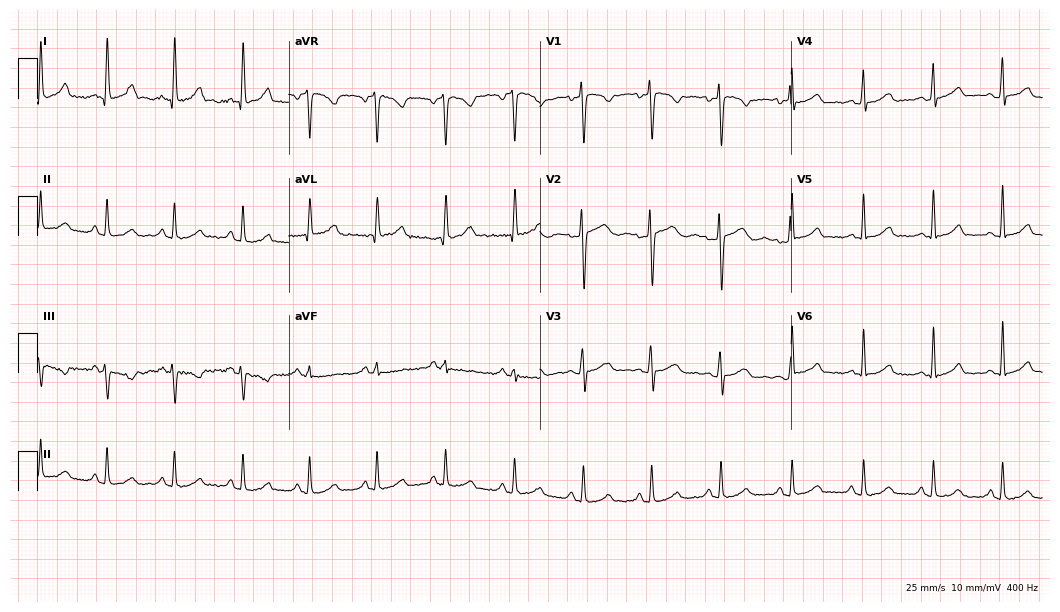
Resting 12-lead electrocardiogram (10.2-second recording at 400 Hz). Patient: a 31-year-old woman. Read as a normal ECG.